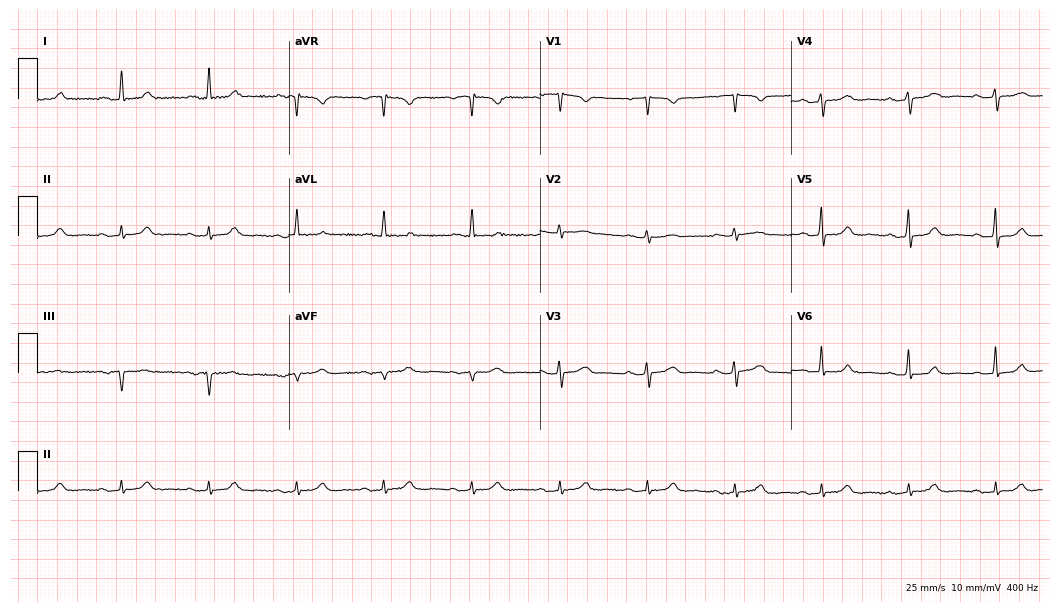
Resting 12-lead electrocardiogram. Patient: a 61-year-old female. The tracing shows first-degree AV block.